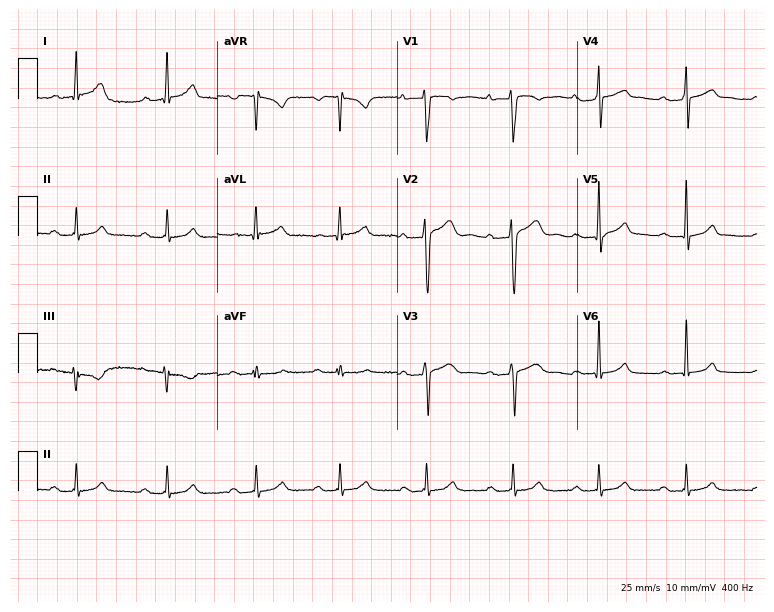
ECG (7.3-second recording at 400 Hz) — a 20-year-old male. Findings include first-degree AV block.